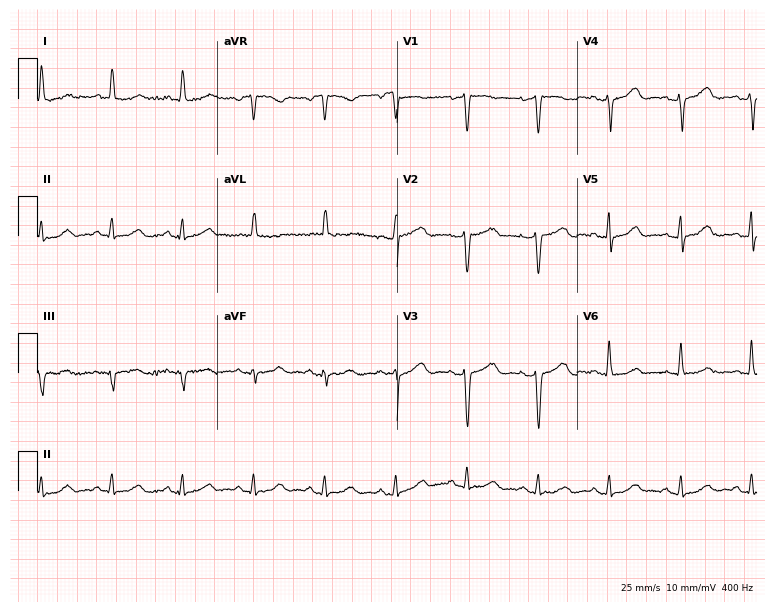
Electrocardiogram (7.3-second recording at 400 Hz), a 66-year-old female patient. Of the six screened findings (first-degree AV block, right bundle branch block (RBBB), left bundle branch block (LBBB), sinus bradycardia, atrial fibrillation (AF), sinus tachycardia), none is recorded.